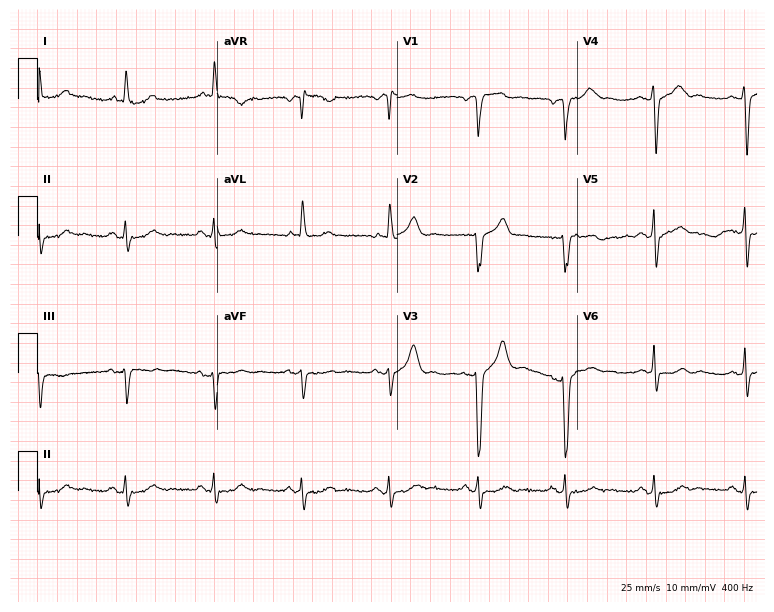
12-lead ECG (7.3-second recording at 400 Hz) from a 66-year-old male patient. Labelled as a normal ECG.